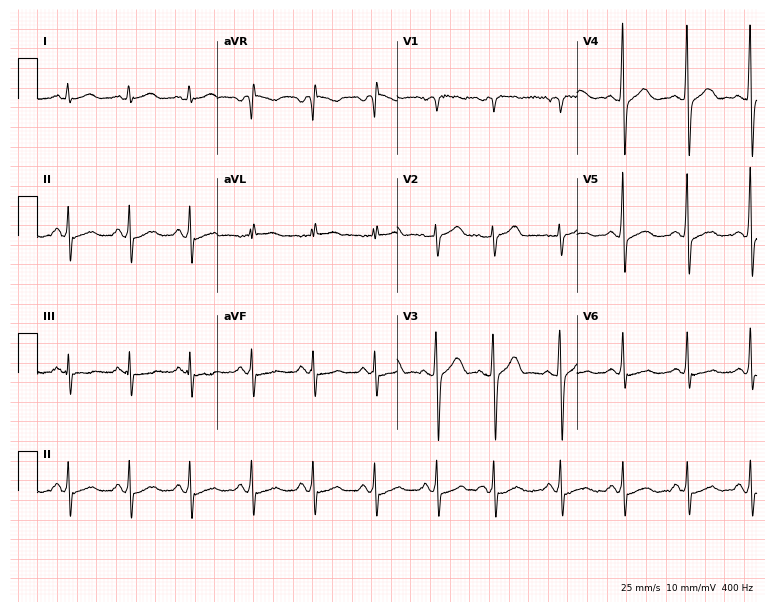
12-lead ECG (7.3-second recording at 400 Hz) from a 55-year-old man. Labelled as a normal ECG.